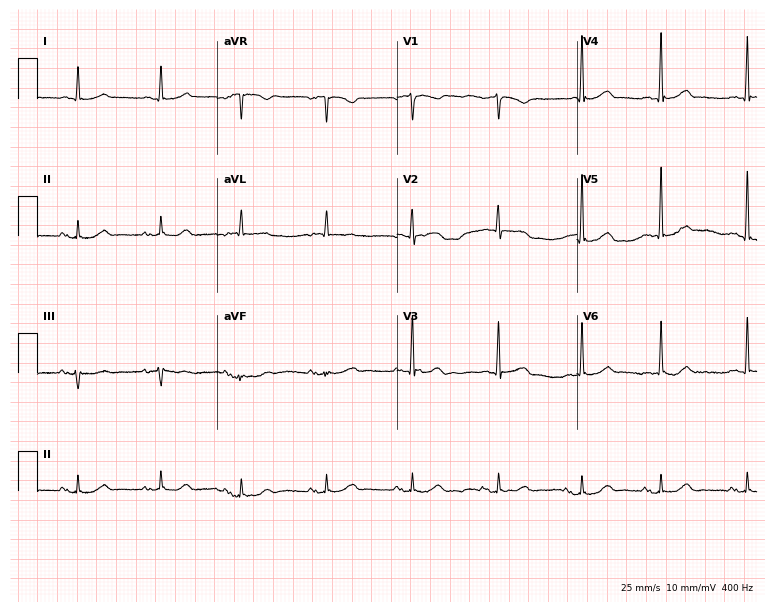
Standard 12-lead ECG recorded from a male, 69 years old (7.3-second recording at 400 Hz). None of these six findings is recorded: first-degree AV block, right bundle branch block, left bundle branch block, sinus bradycardia, atrial fibrillation, sinus tachycardia.